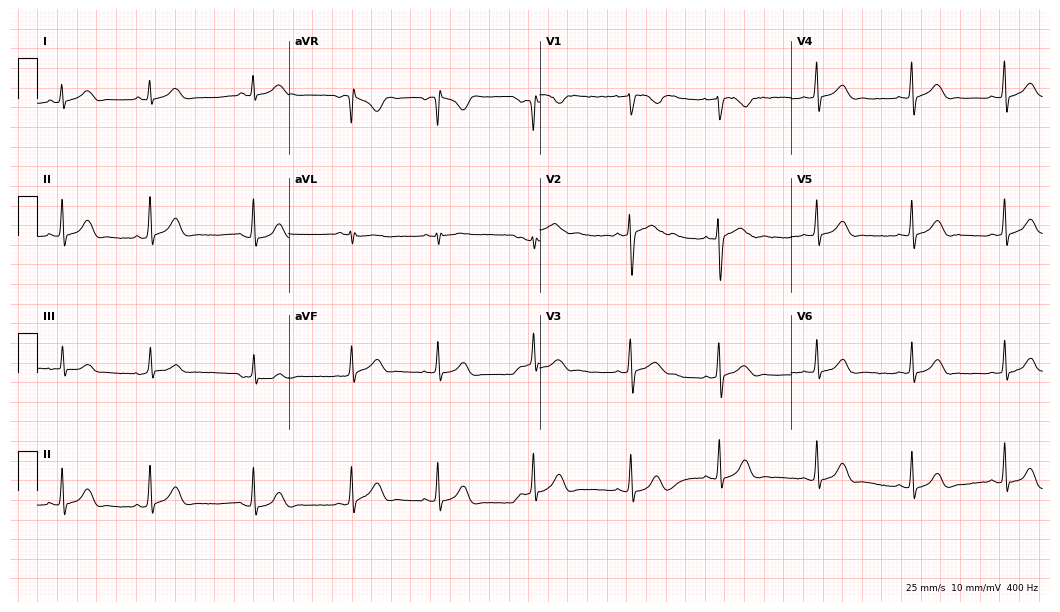
12-lead ECG from a woman, 20 years old. Labelled as a normal ECG.